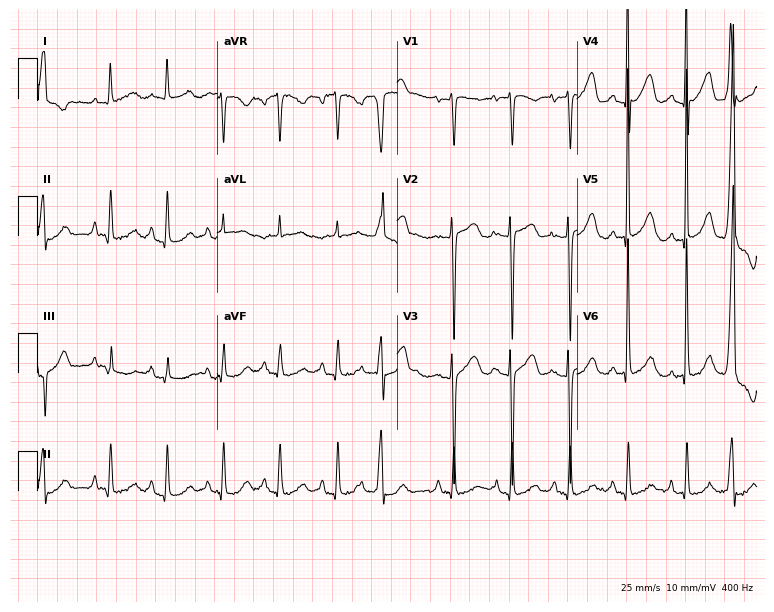
ECG — a female patient, 67 years old. Screened for six findings — first-degree AV block, right bundle branch block, left bundle branch block, sinus bradycardia, atrial fibrillation, sinus tachycardia — none is recorded. Only these six findings were labelled.